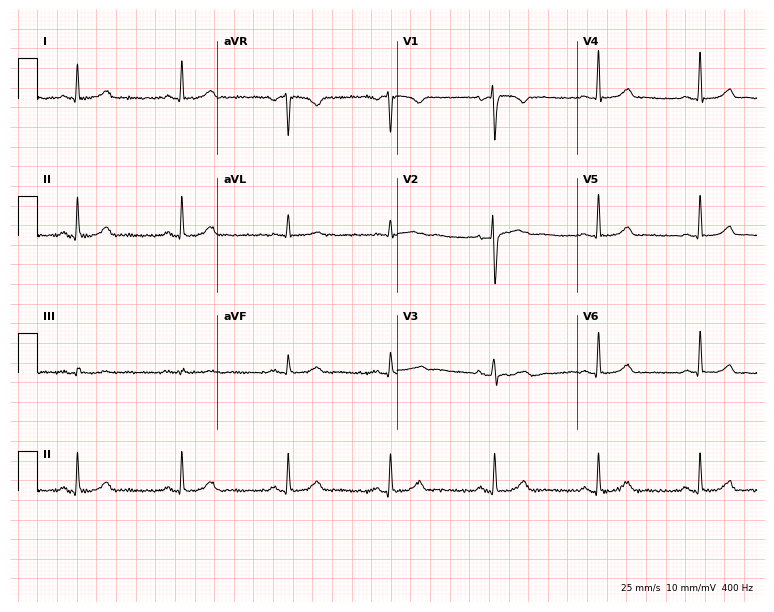
ECG — a woman, 47 years old. Screened for six findings — first-degree AV block, right bundle branch block (RBBB), left bundle branch block (LBBB), sinus bradycardia, atrial fibrillation (AF), sinus tachycardia — none is recorded.